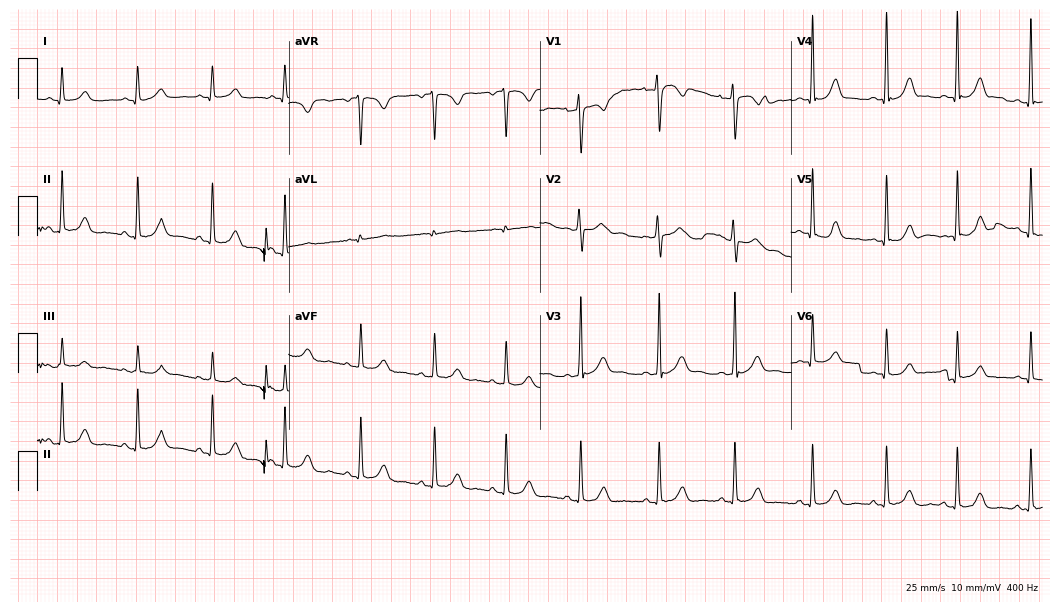
Electrocardiogram, an 18-year-old woman. Of the six screened findings (first-degree AV block, right bundle branch block (RBBB), left bundle branch block (LBBB), sinus bradycardia, atrial fibrillation (AF), sinus tachycardia), none is recorded. Only these six findings were labelled.